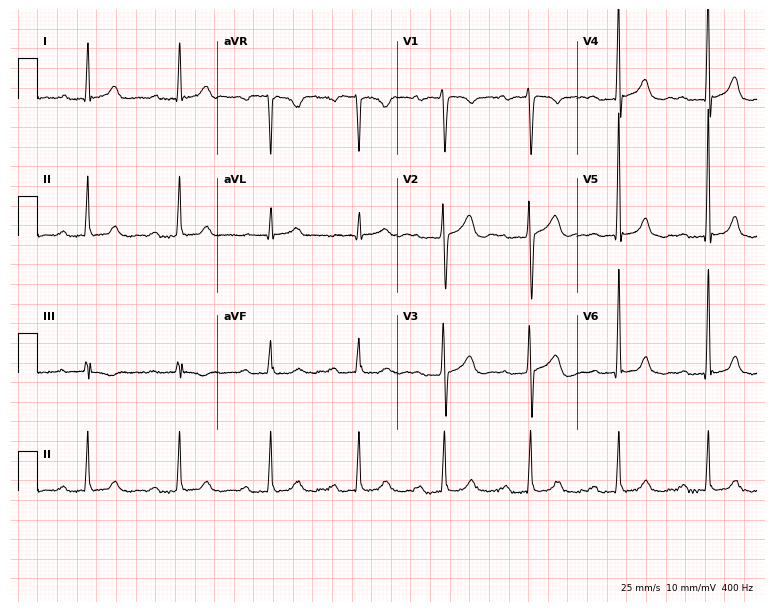
Standard 12-lead ECG recorded from a man, 50 years old. The tracing shows first-degree AV block.